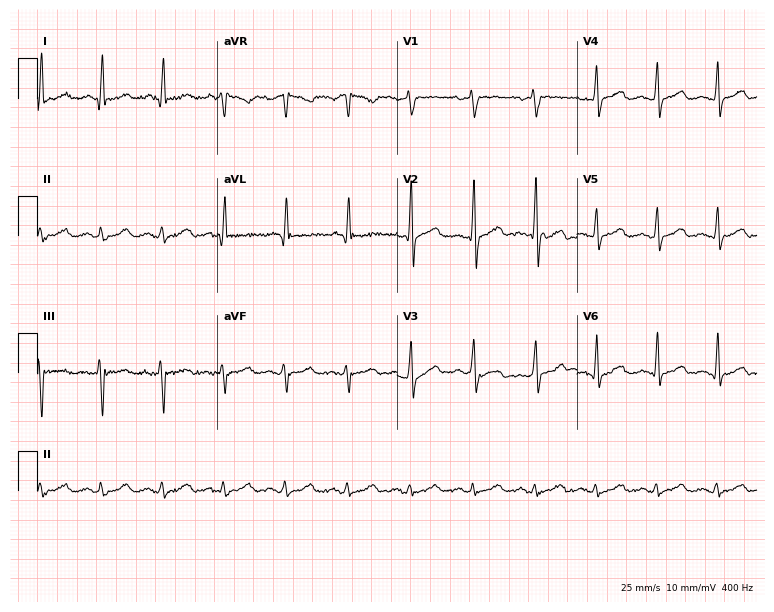
12-lead ECG from a male, 38 years old. Recorded interpretation: within normal limits.